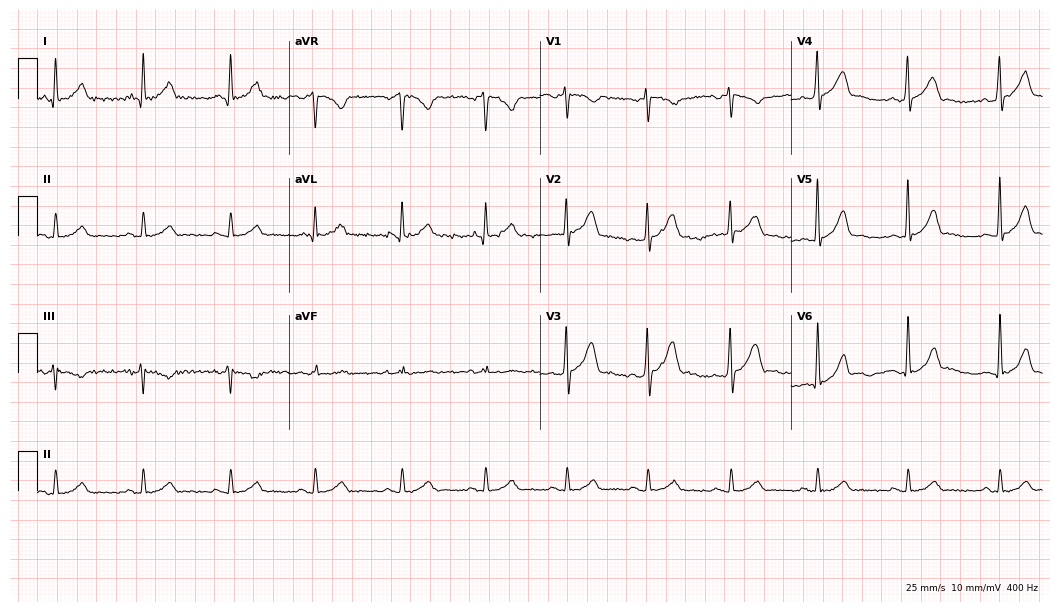
Resting 12-lead electrocardiogram (10.2-second recording at 400 Hz). Patient: a male, 46 years old. Read as a normal ECG.